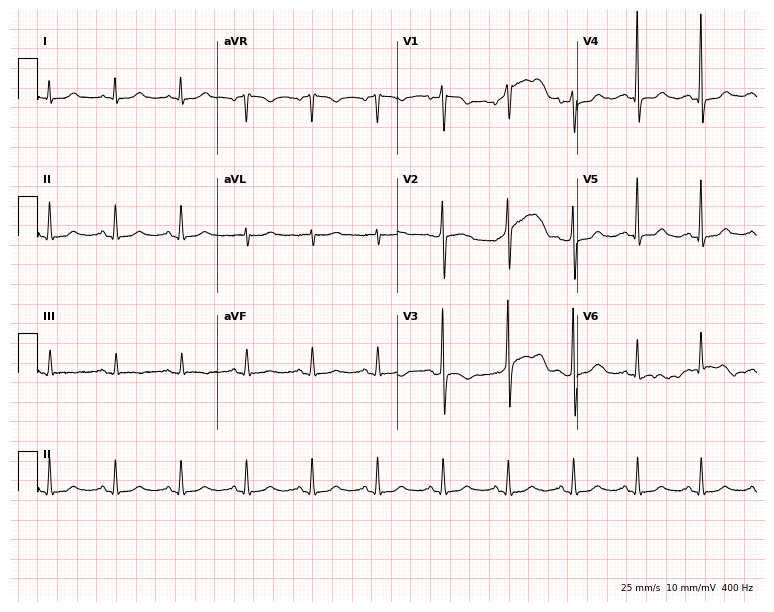
ECG (7.3-second recording at 400 Hz) — a female, 68 years old. Screened for six findings — first-degree AV block, right bundle branch block (RBBB), left bundle branch block (LBBB), sinus bradycardia, atrial fibrillation (AF), sinus tachycardia — none is recorded.